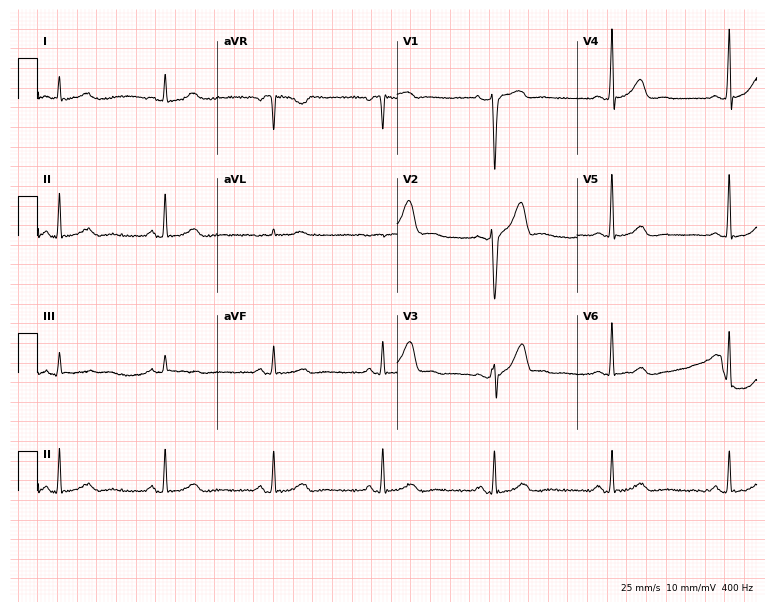
12-lead ECG from a male, 51 years old. No first-degree AV block, right bundle branch block (RBBB), left bundle branch block (LBBB), sinus bradycardia, atrial fibrillation (AF) or sinus tachycardia recorded for this tracing. Other findings, if any, are not listed.